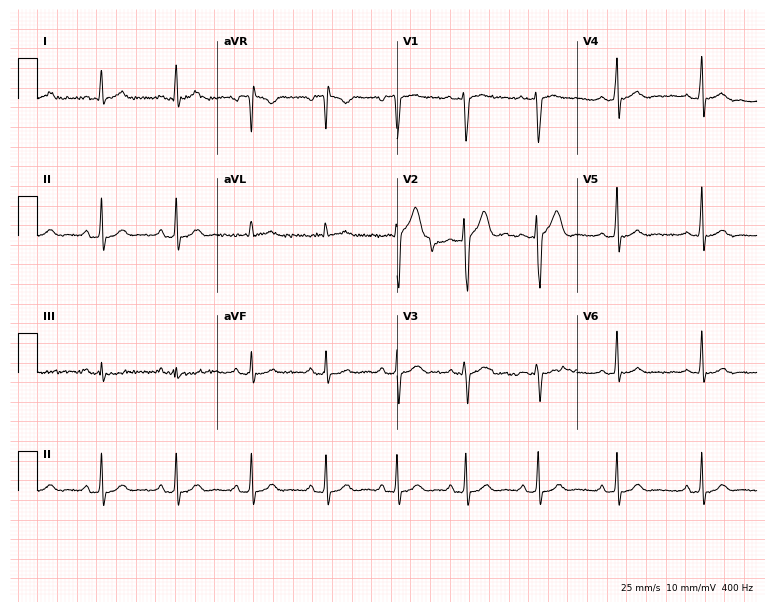
Electrocardiogram, a man, 22 years old. Overall reading on record: normal ECG.